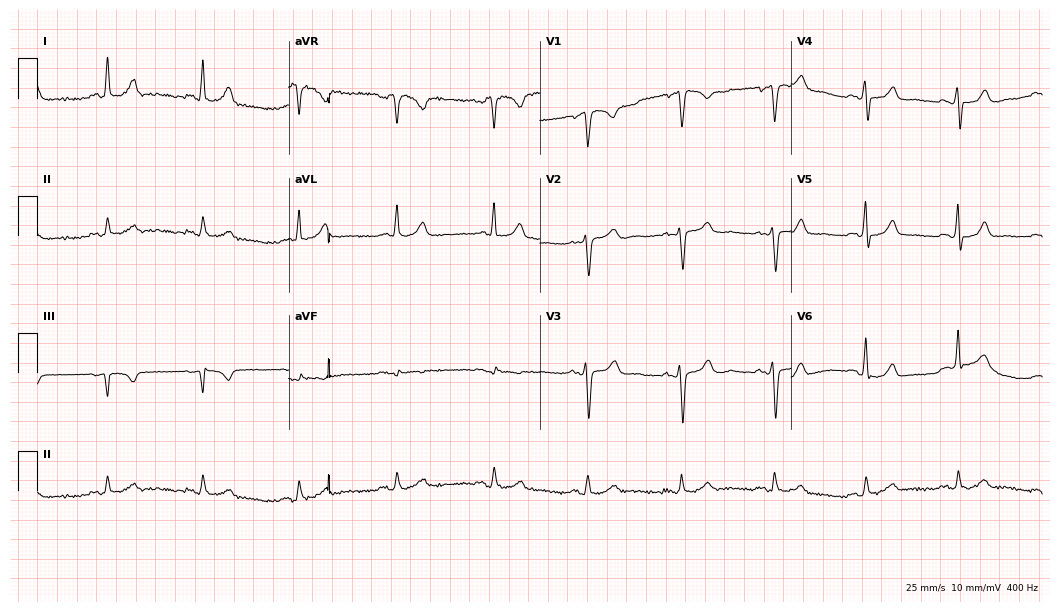
Resting 12-lead electrocardiogram (10.2-second recording at 400 Hz). Patient: a male, 69 years old. Read as a normal ECG.